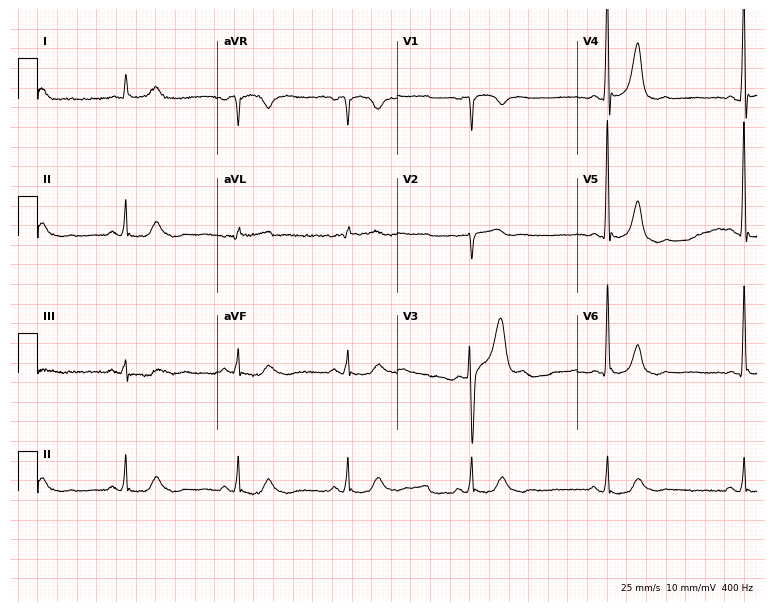
ECG — a man, 79 years old. Screened for six findings — first-degree AV block, right bundle branch block, left bundle branch block, sinus bradycardia, atrial fibrillation, sinus tachycardia — none is recorded. Only these six findings were labelled.